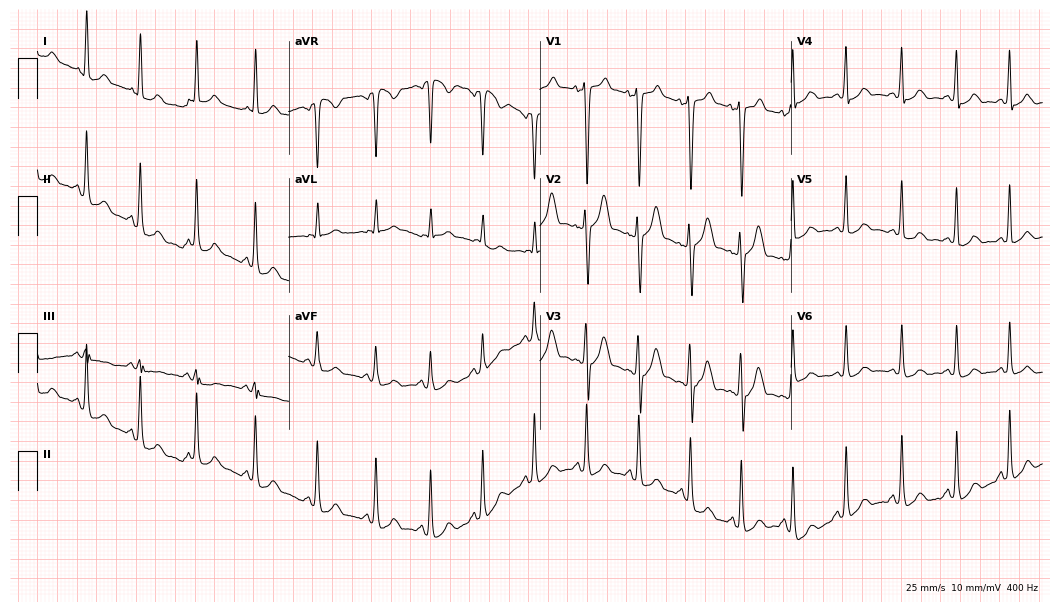
ECG (10.2-second recording at 400 Hz) — a 30-year-old female patient. Screened for six findings — first-degree AV block, right bundle branch block (RBBB), left bundle branch block (LBBB), sinus bradycardia, atrial fibrillation (AF), sinus tachycardia — none is recorded. Findings outside these six are not listed.